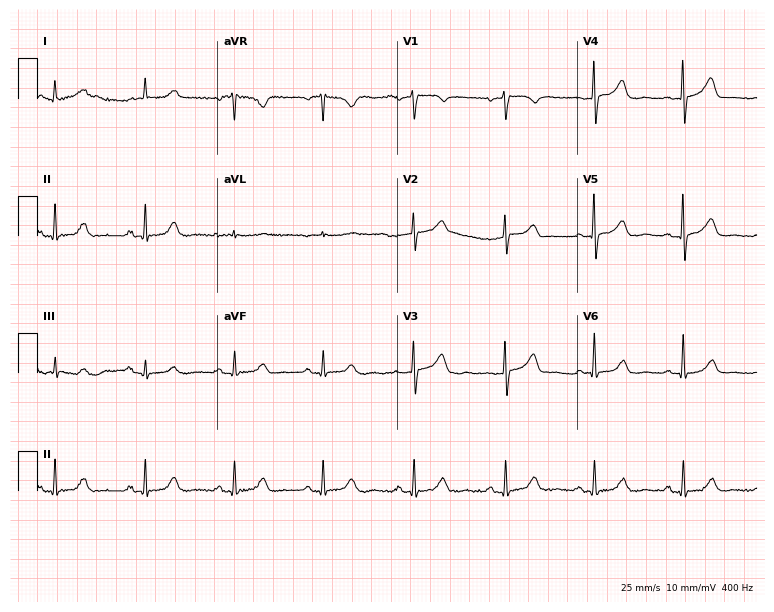
12-lead ECG from a 75-year-old female. Labelled as a normal ECG.